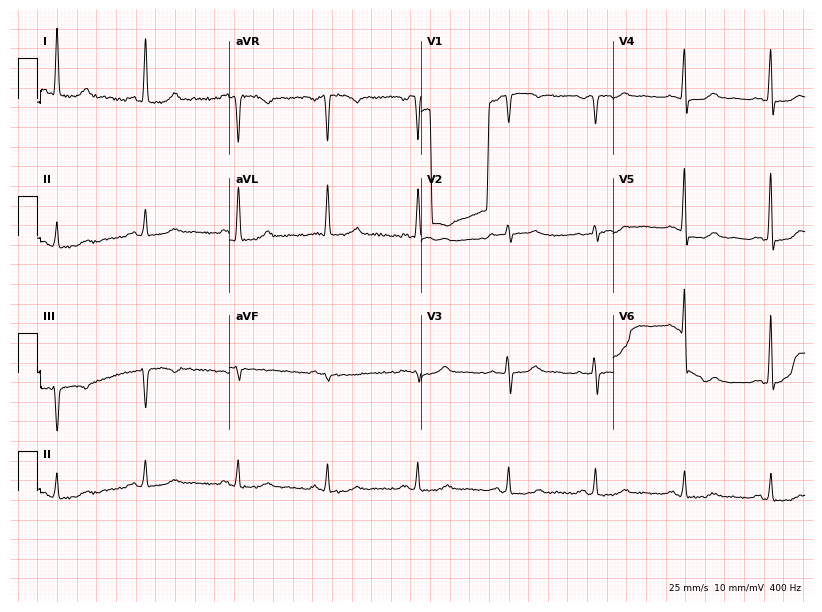
12-lead ECG from a 62-year-old female. Screened for six findings — first-degree AV block, right bundle branch block (RBBB), left bundle branch block (LBBB), sinus bradycardia, atrial fibrillation (AF), sinus tachycardia — none is recorded. Other findings, if any, are not listed.